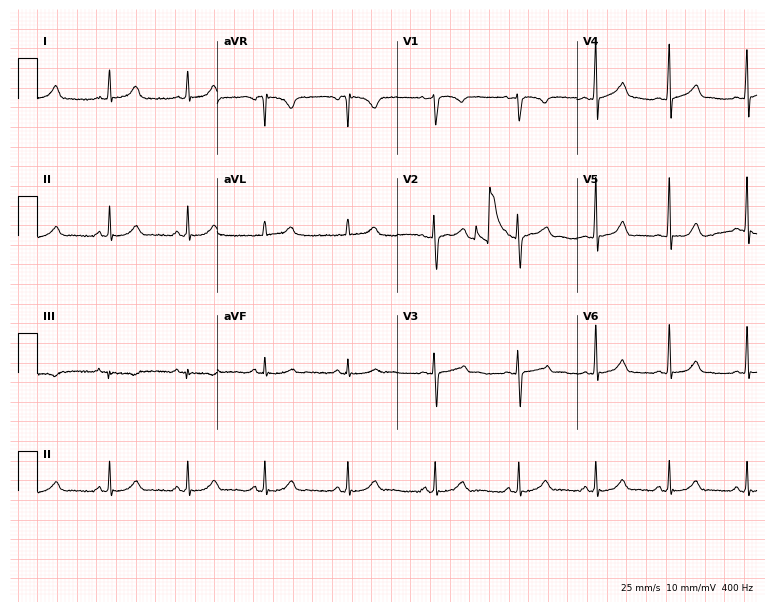
12-lead ECG (7.3-second recording at 400 Hz) from a woman, 20 years old. Labelled as a normal ECG.